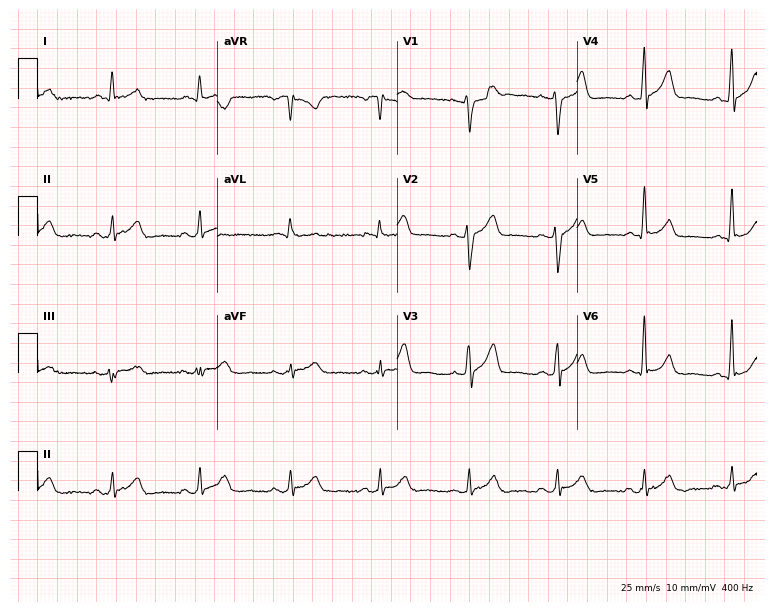
Resting 12-lead electrocardiogram. Patient: a 50-year-old male. Read as a normal ECG.